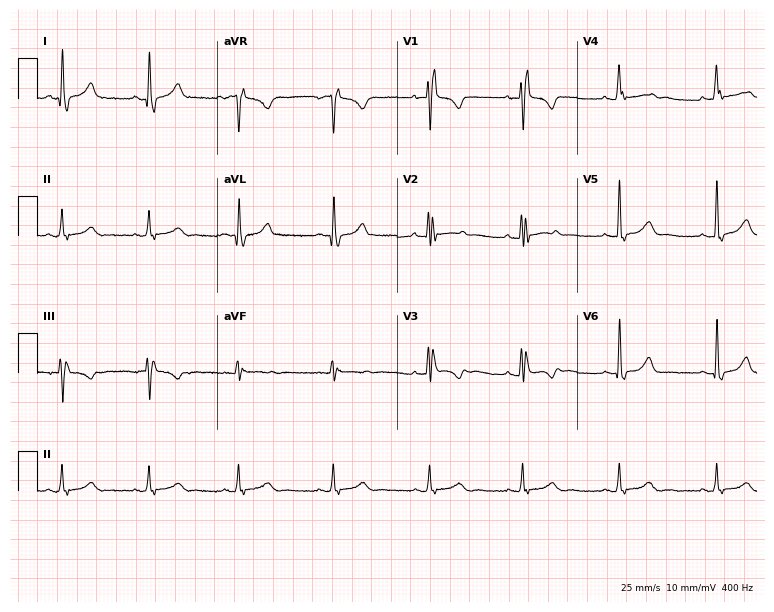
12-lead ECG from a 38-year-old female. Shows right bundle branch block.